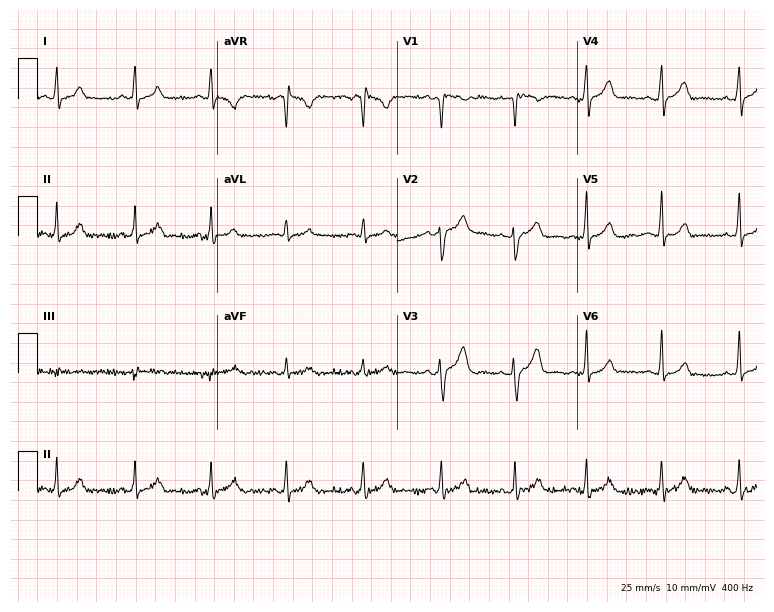
Electrocardiogram, a male, 22 years old. Overall reading on record: normal ECG.